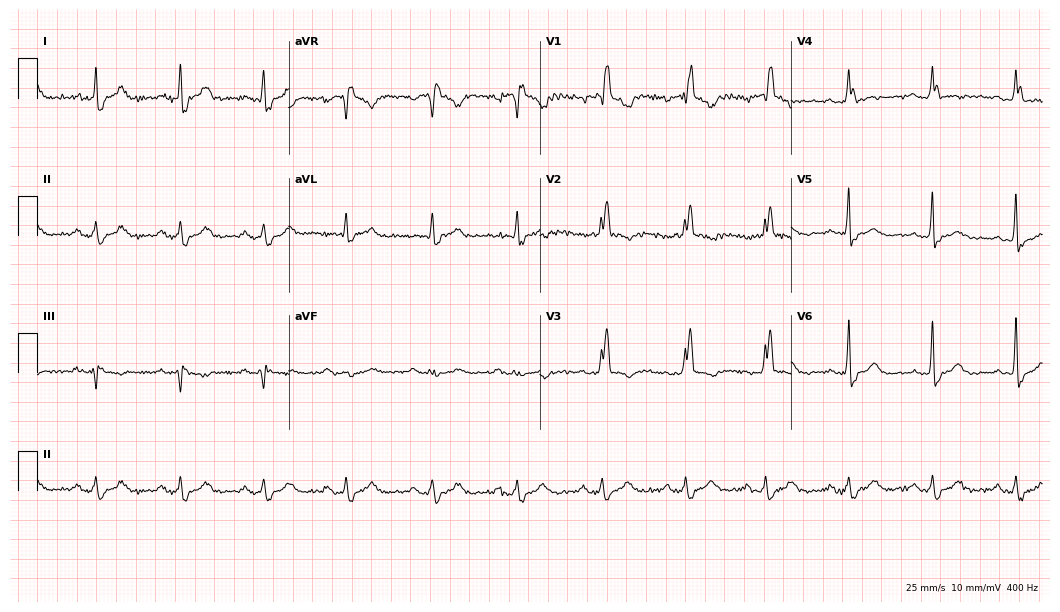
Standard 12-lead ECG recorded from a male, 56 years old (10.2-second recording at 400 Hz). The tracing shows right bundle branch block.